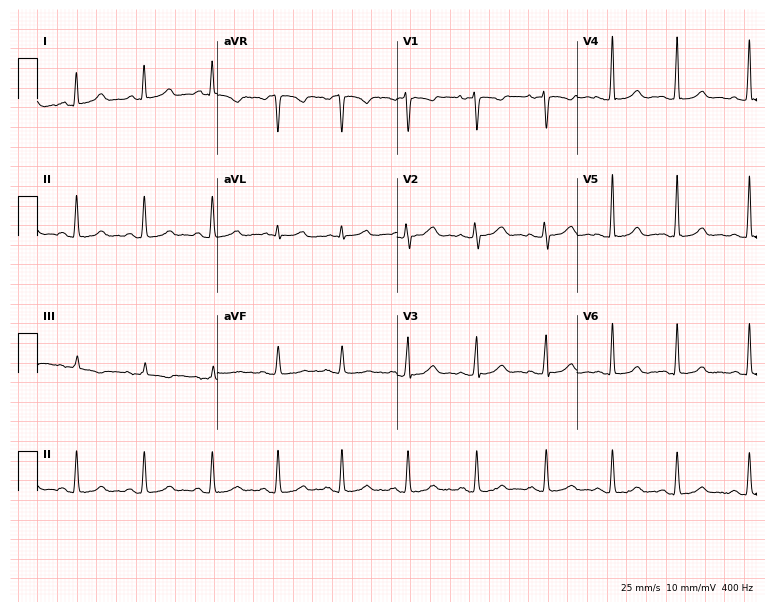
12-lead ECG from a woman, 33 years old (7.3-second recording at 400 Hz). No first-degree AV block, right bundle branch block, left bundle branch block, sinus bradycardia, atrial fibrillation or sinus tachycardia recorded for this tracing. Findings outside these six are not listed.